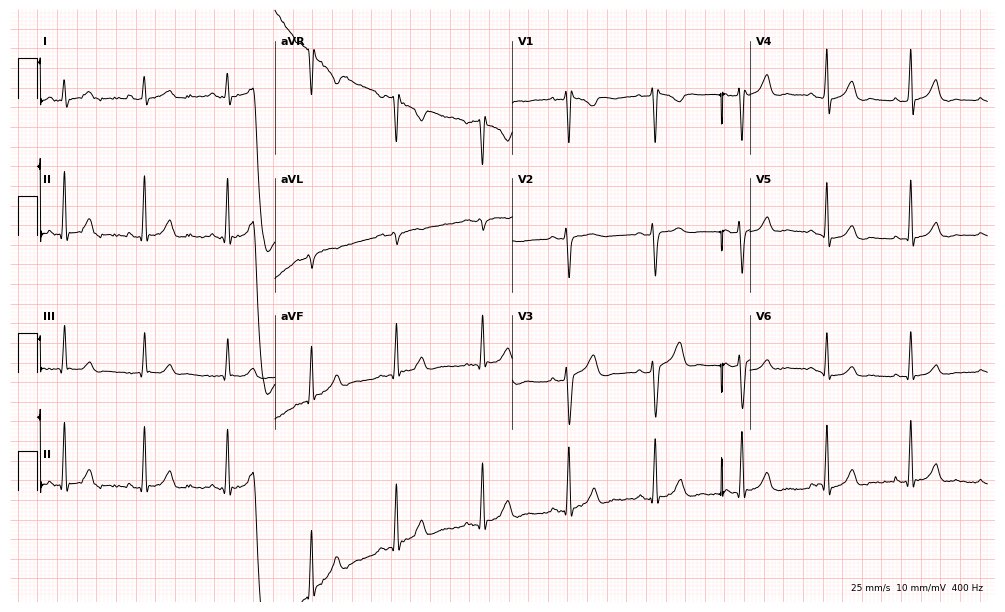
12-lead ECG (9.7-second recording at 400 Hz) from a male, 55 years old. Screened for six findings — first-degree AV block, right bundle branch block, left bundle branch block, sinus bradycardia, atrial fibrillation, sinus tachycardia — none is recorded.